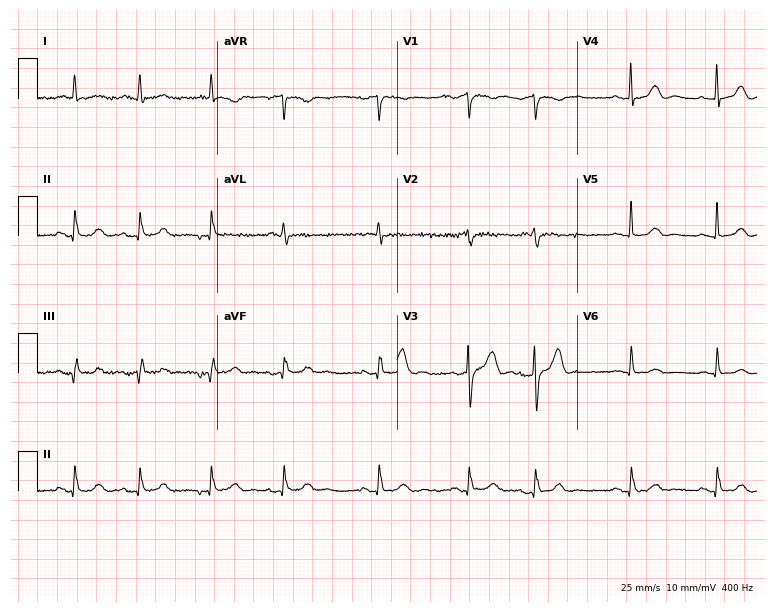
Electrocardiogram (7.3-second recording at 400 Hz), a male patient, 84 years old. Of the six screened findings (first-degree AV block, right bundle branch block, left bundle branch block, sinus bradycardia, atrial fibrillation, sinus tachycardia), none is recorded.